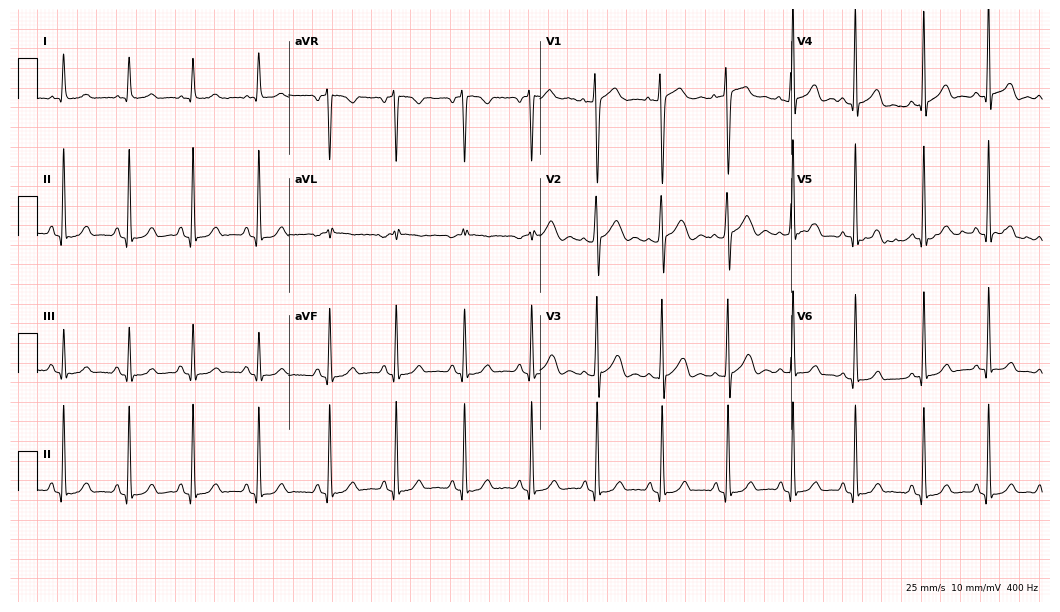
12-lead ECG from an 18-year-old female (10.2-second recording at 400 Hz). Recorded interpretation: within normal limits.